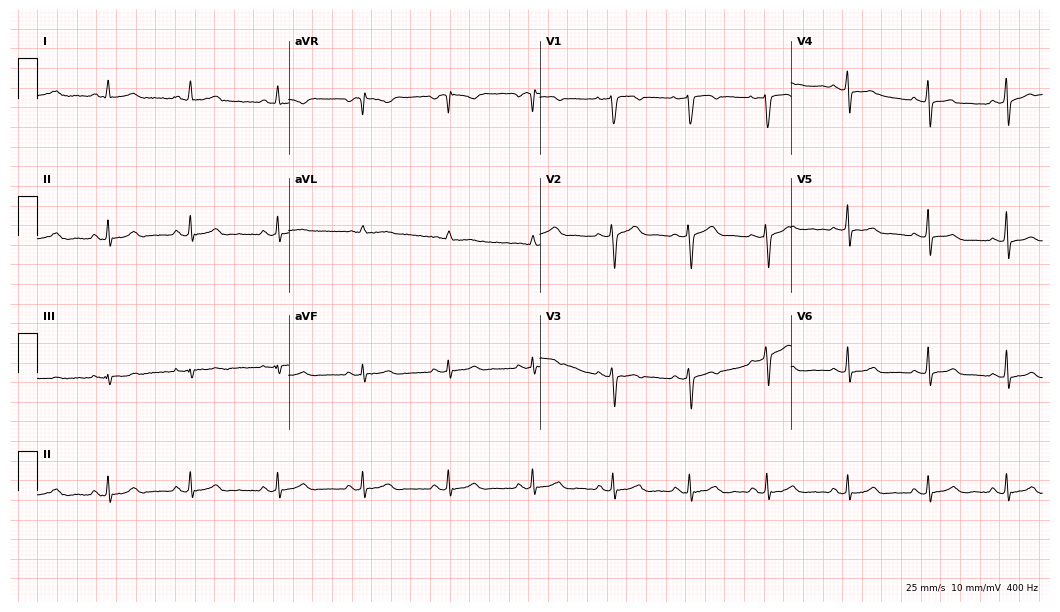
12-lead ECG from a 32-year-old female patient (10.2-second recording at 400 Hz). Recorded interpretation: within normal limits.